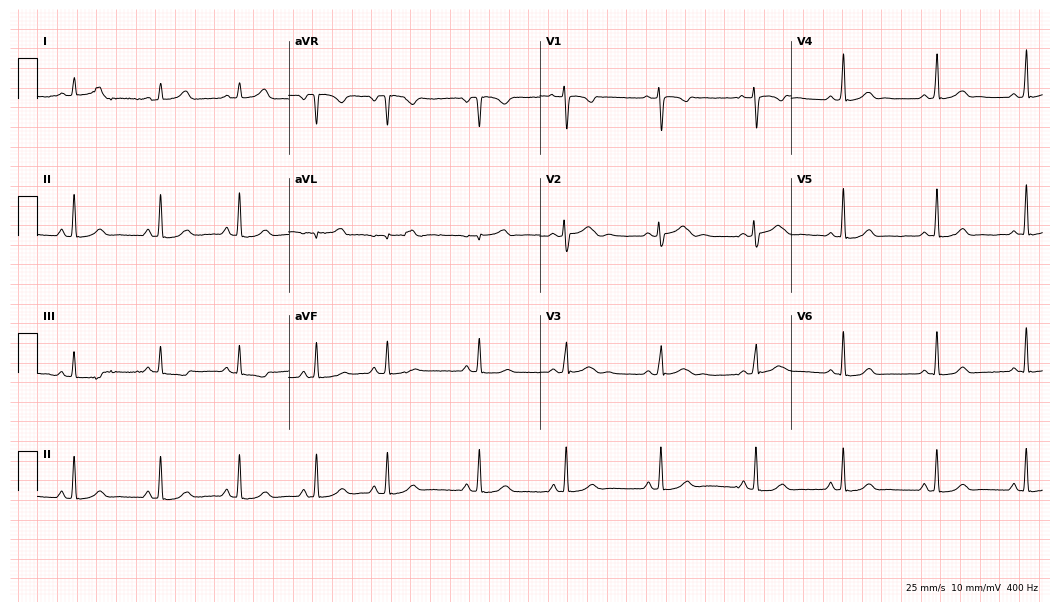
Electrocardiogram, a female, 18 years old. Of the six screened findings (first-degree AV block, right bundle branch block (RBBB), left bundle branch block (LBBB), sinus bradycardia, atrial fibrillation (AF), sinus tachycardia), none is recorded.